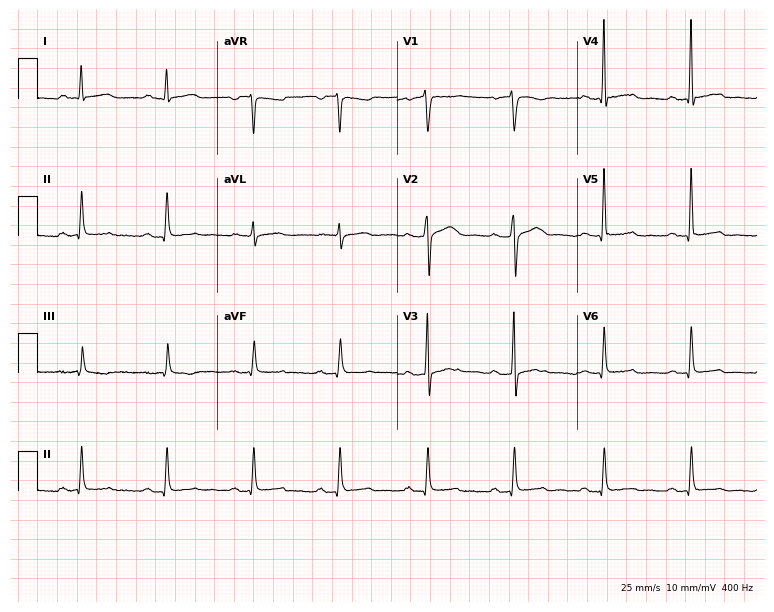
12-lead ECG (7.3-second recording at 400 Hz) from a male, 40 years old. Screened for six findings — first-degree AV block, right bundle branch block, left bundle branch block, sinus bradycardia, atrial fibrillation, sinus tachycardia — none is recorded. Findings outside these six are not listed.